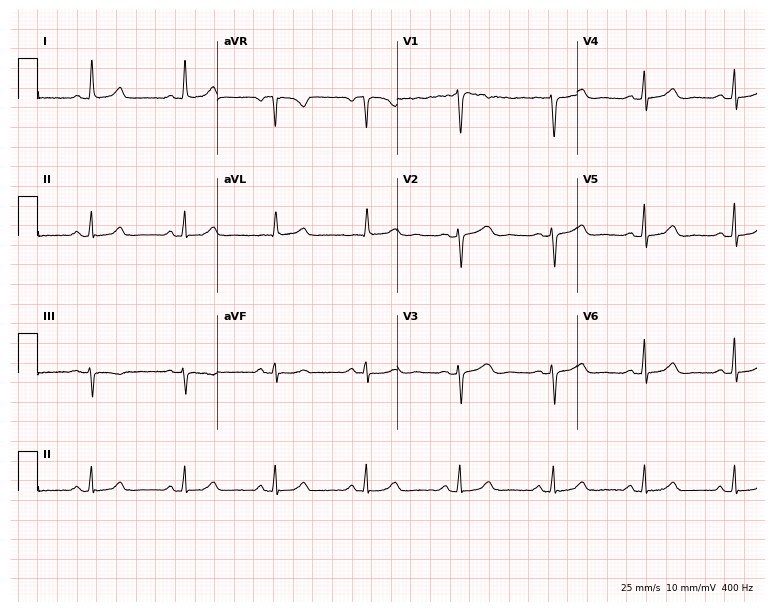
Electrocardiogram, a woman, 66 years old. Overall reading on record: normal ECG.